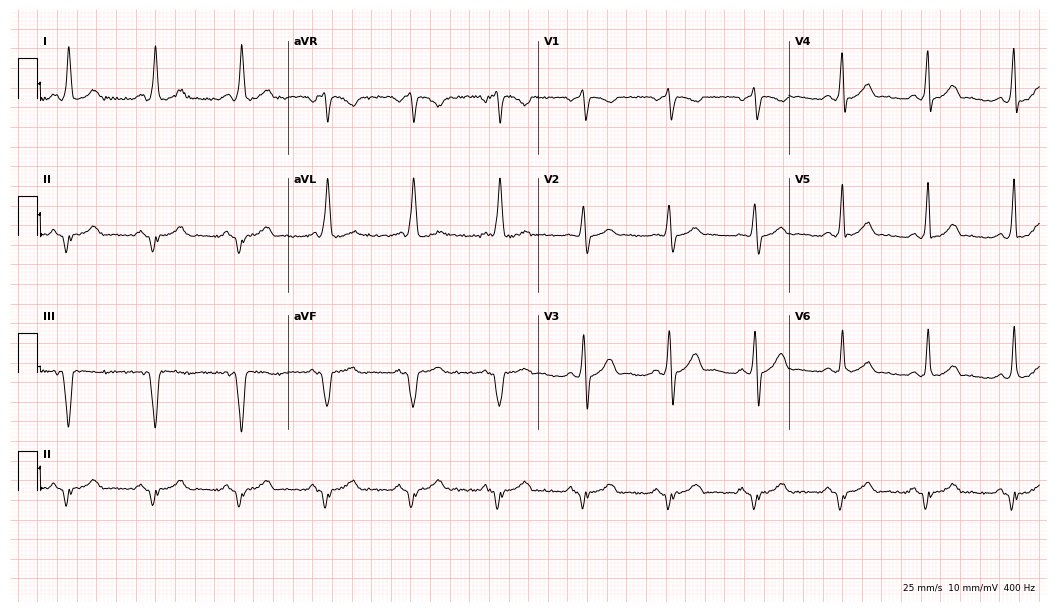
Electrocardiogram (10.2-second recording at 400 Hz), a male, 51 years old. Of the six screened findings (first-degree AV block, right bundle branch block, left bundle branch block, sinus bradycardia, atrial fibrillation, sinus tachycardia), none is recorded.